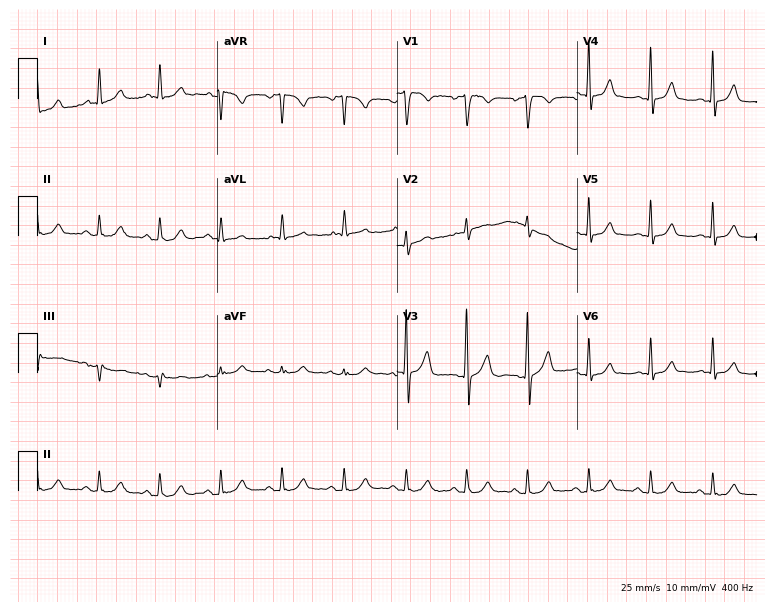
12-lead ECG from a woman, 69 years old. No first-degree AV block, right bundle branch block, left bundle branch block, sinus bradycardia, atrial fibrillation or sinus tachycardia recorded for this tracing.